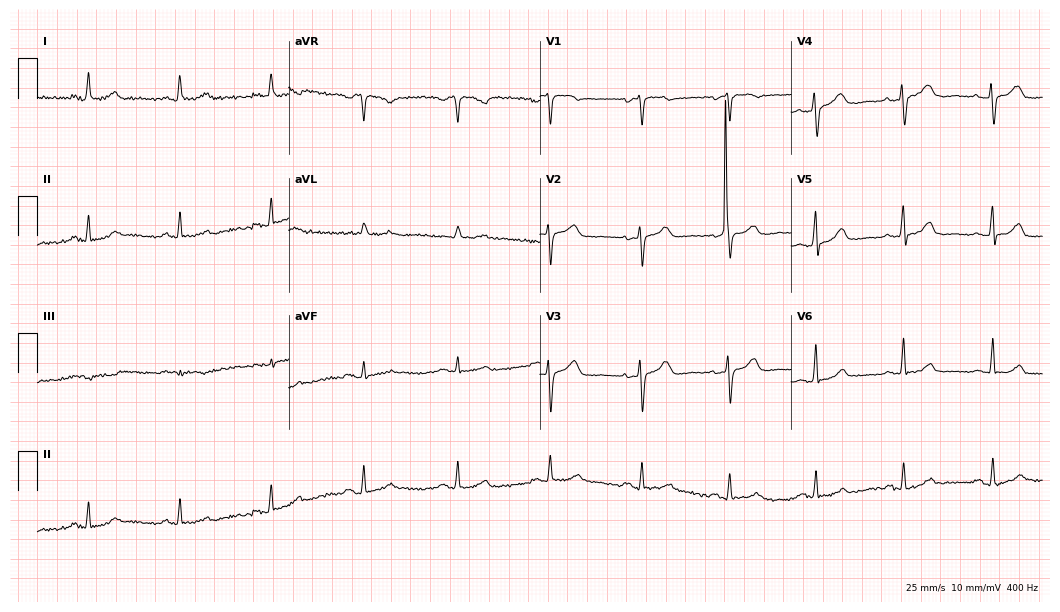
Standard 12-lead ECG recorded from a female, 48 years old (10.2-second recording at 400 Hz). Read as a normal ECG.